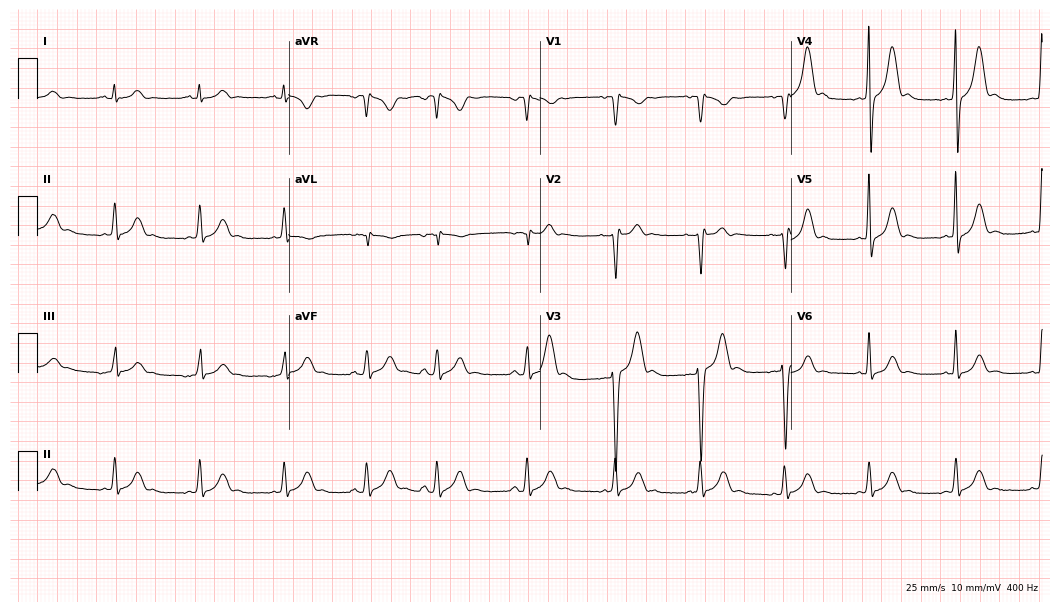
Standard 12-lead ECG recorded from a 21-year-old male. None of these six findings is recorded: first-degree AV block, right bundle branch block, left bundle branch block, sinus bradycardia, atrial fibrillation, sinus tachycardia. Findings outside these six are not listed.